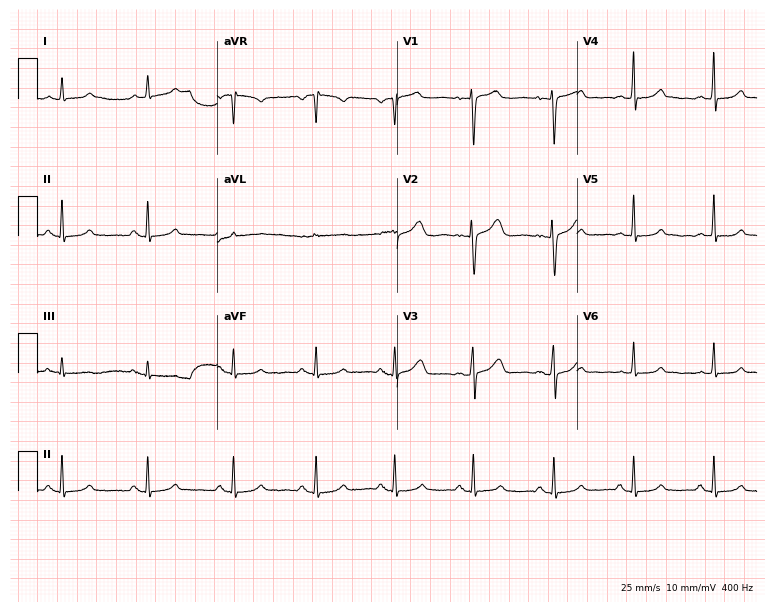
ECG (7.3-second recording at 400 Hz) — a 39-year-old female patient. Screened for six findings — first-degree AV block, right bundle branch block, left bundle branch block, sinus bradycardia, atrial fibrillation, sinus tachycardia — none is recorded.